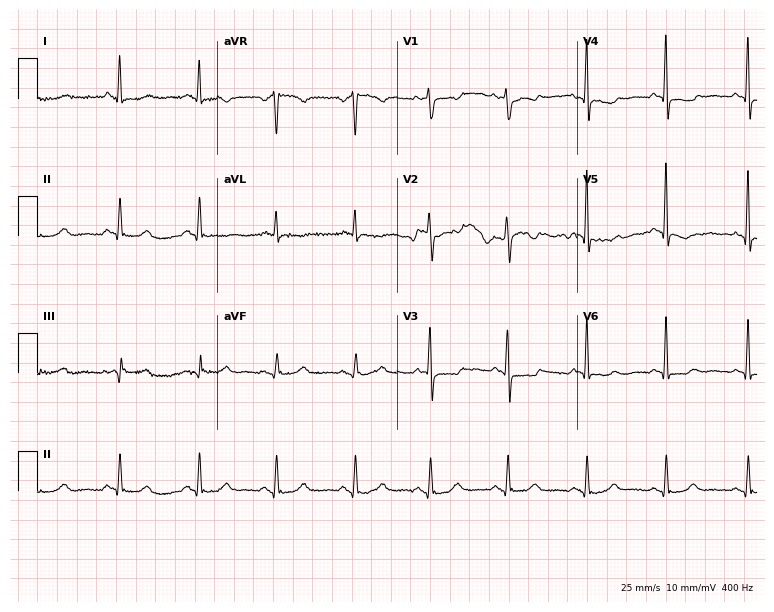
12-lead ECG from a woman, 54 years old. Screened for six findings — first-degree AV block, right bundle branch block, left bundle branch block, sinus bradycardia, atrial fibrillation, sinus tachycardia — none is recorded.